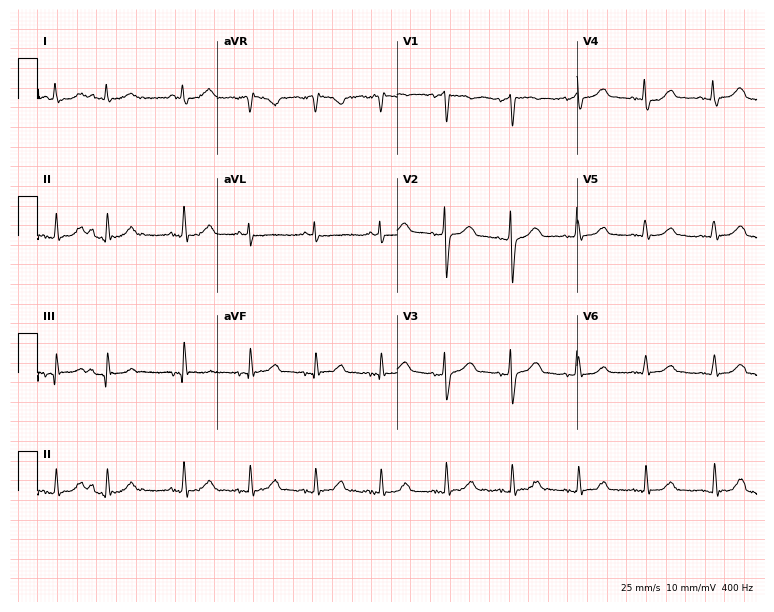
ECG — a 61-year-old female patient. Screened for six findings — first-degree AV block, right bundle branch block, left bundle branch block, sinus bradycardia, atrial fibrillation, sinus tachycardia — none is recorded.